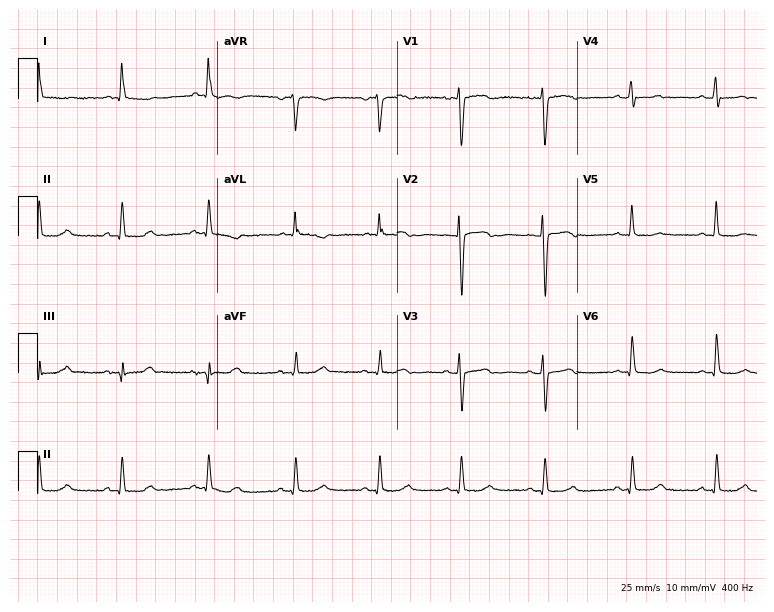
Standard 12-lead ECG recorded from a female patient, 54 years old. None of these six findings is recorded: first-degree AV block, right bundle branch block, left bundle branch block, sinus bradycardia, atrial fibrillation, sinus tachycardia. Only these six findings were labelled.